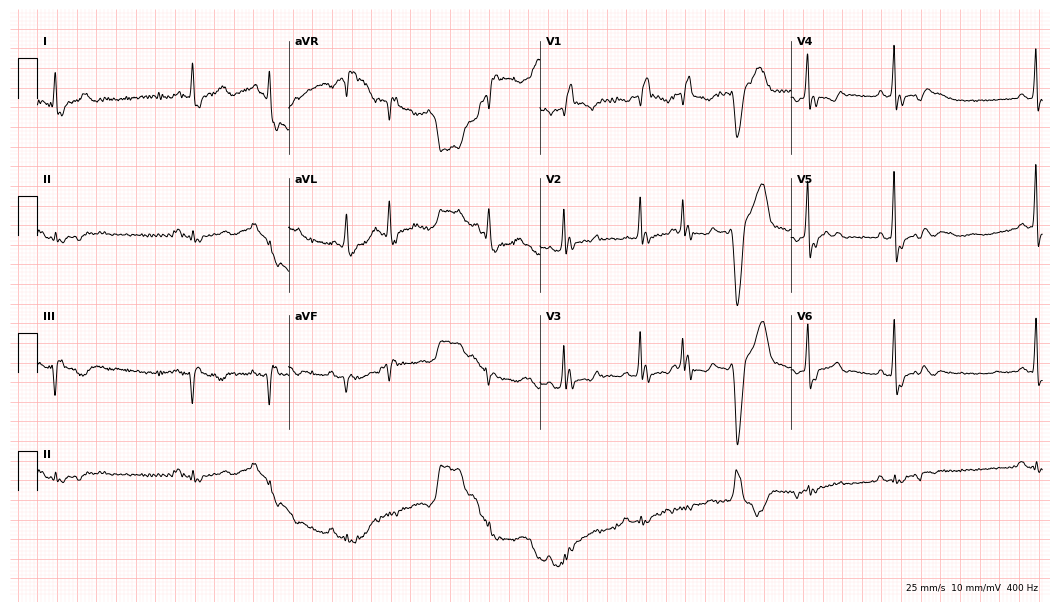
Electrocardiogram (10.2-second recording at 400 Hz), a male, 85 years old. Of the six screened findings (first-degree AV block, right bundle branch block, left bundle branch block, sinus bradycardia, atrial fibrillation, sinus tachycardia), none is recorded. Only these six findings were labelled.